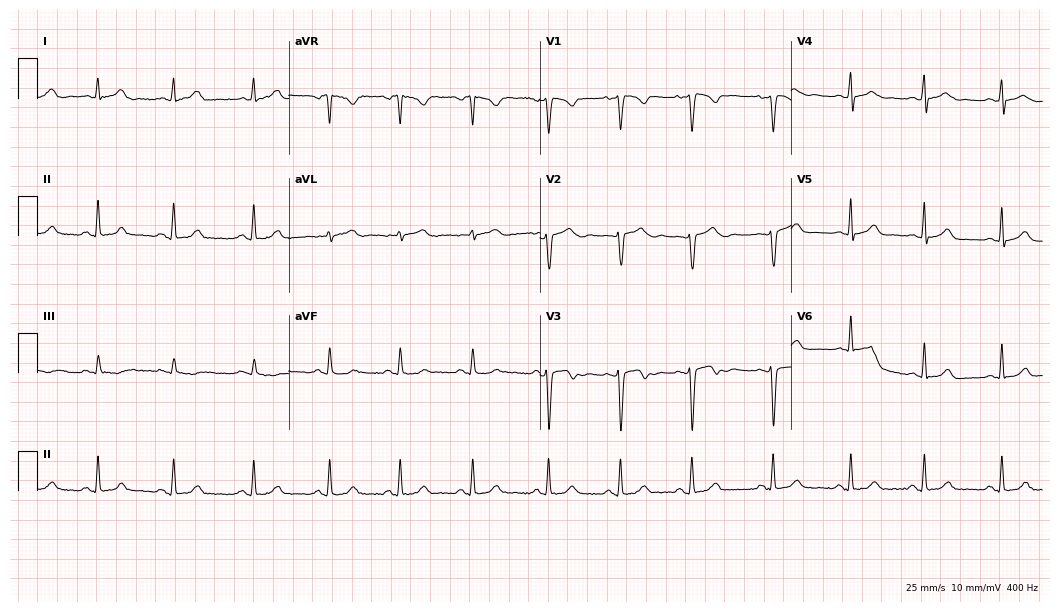
Resting 12-lead electrocardiogram. Patient: a female, 20 years old. None of these six findings is recorded: first-degree AV block, right bundle branch block (RBBB), left bundle branch block (LBBB), sinus bradycardia, atrial fibrillation (AF), sinus tachycardia.